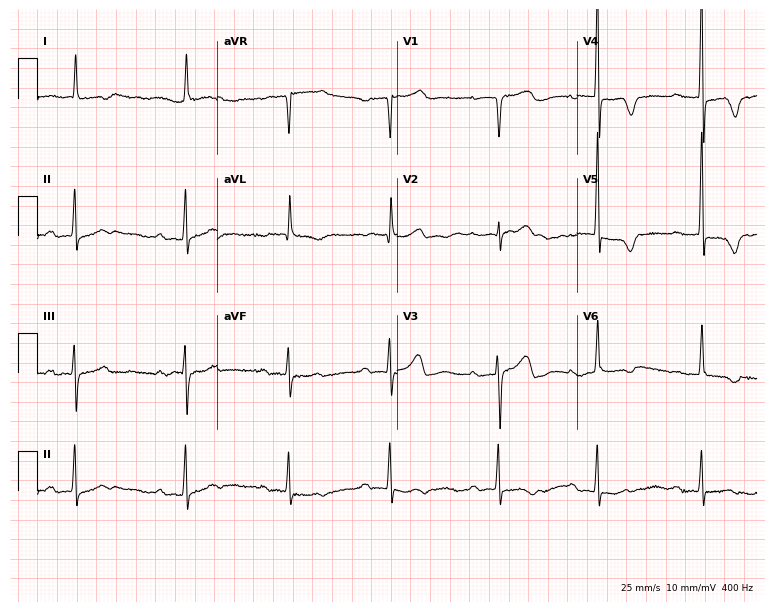
12-lead ECG from an 81-year-old woman. No first-degree AV block, right bundle branch block, left bundle branch block, sinus bradycardia, atrial fibrillation or sinus tachycardia recorded for this tracing. Other findings, if any, are not listed.